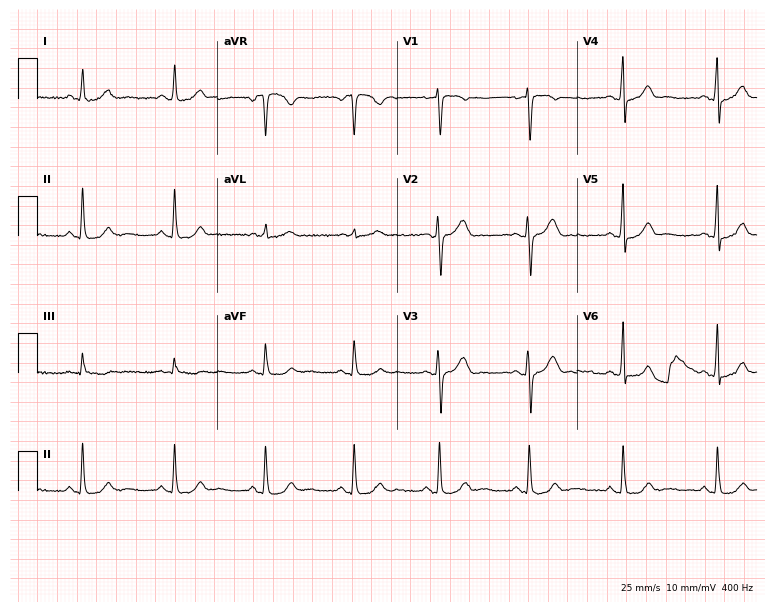
Resting 12-lead electrocardiogram (7.3-second recording at 400 Hz). Patient: a 44-year-old female. Read as a normal ECG.